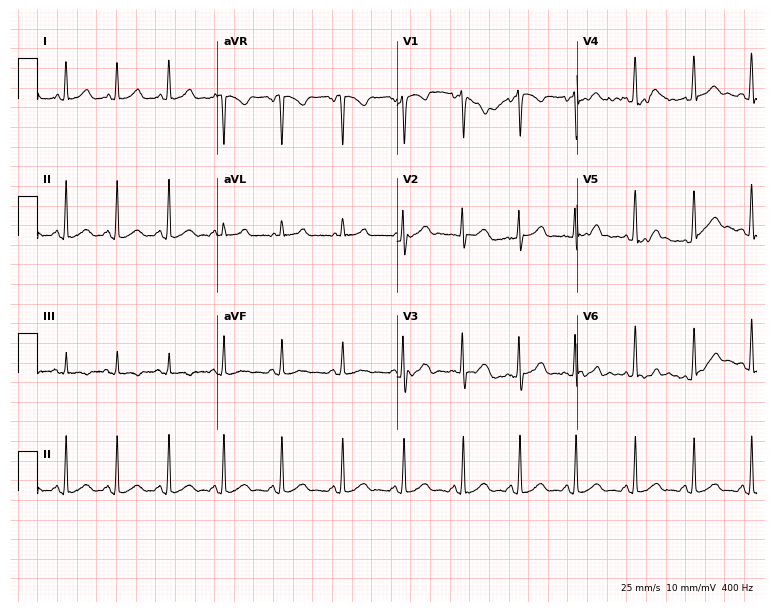
Electrocardiogram (7.3-second recording at 400 Hz), a 25-year-old female. Overall reading on record: normal ECG.